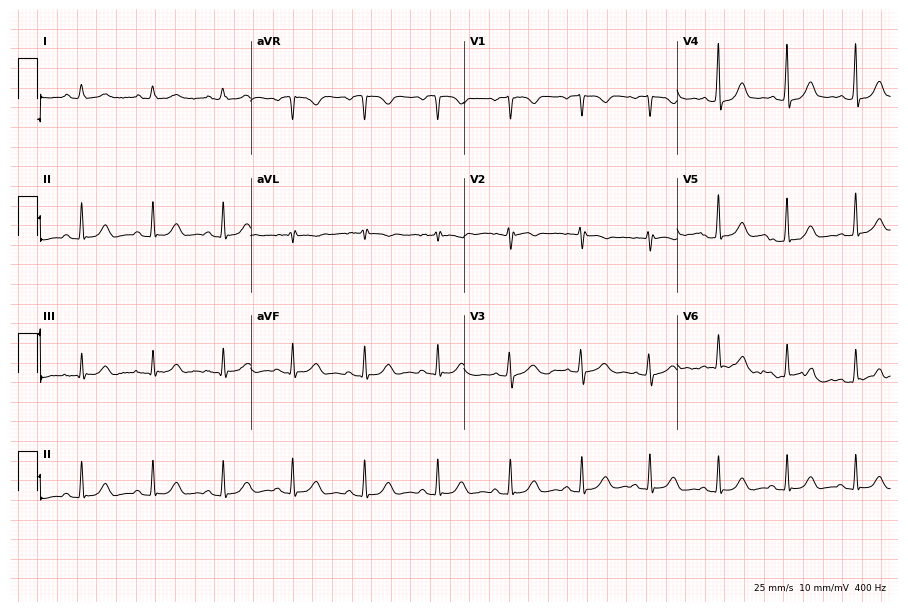
Resting 12-lead electrocardiogram. Patient: a woman, 34 years old. Read as a normal ECG.